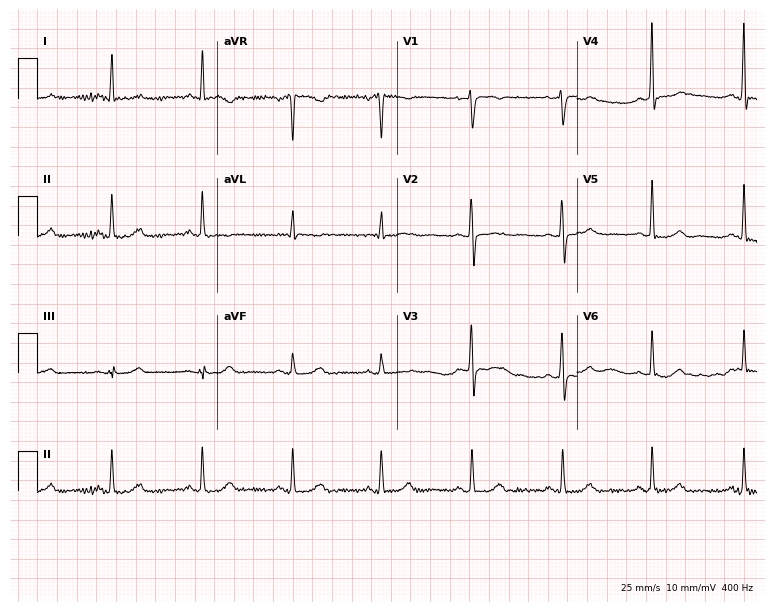
Resting 12-lead electrocardiogram (7.3-second recording at 400 Hz). Patient: a 43-year-old female. None of these six findings is recorded: first-degree AV block, right bundle branch block, left bundle branch block, sinus bradycardia, atrial fibrillation, sinus tachycardia.